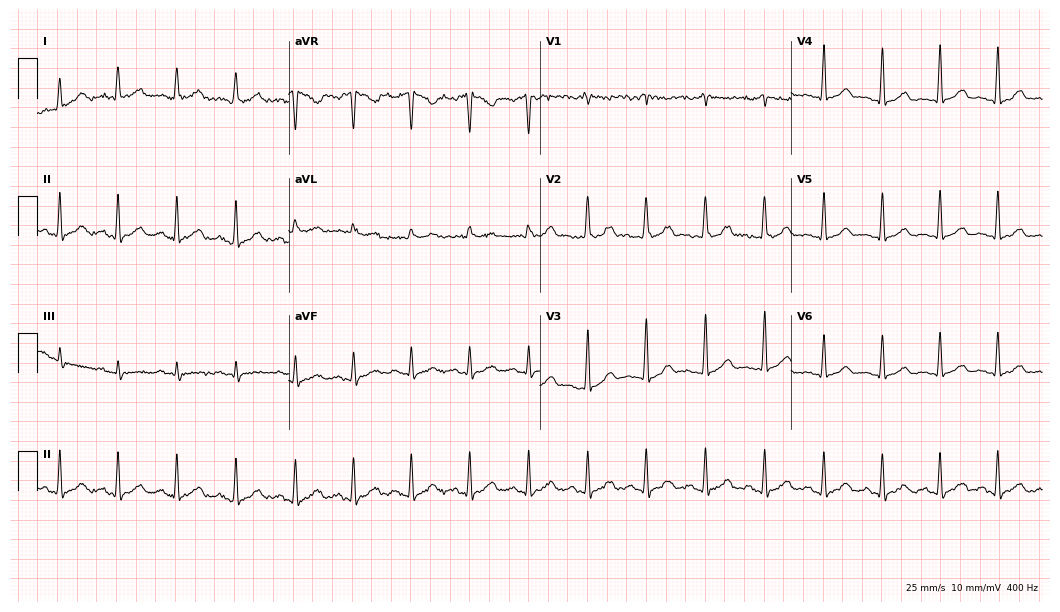
12-lead ECG (10.2-second recording at 400 Hz) from a 27-year-old woman. Labelled as a normal ECG.